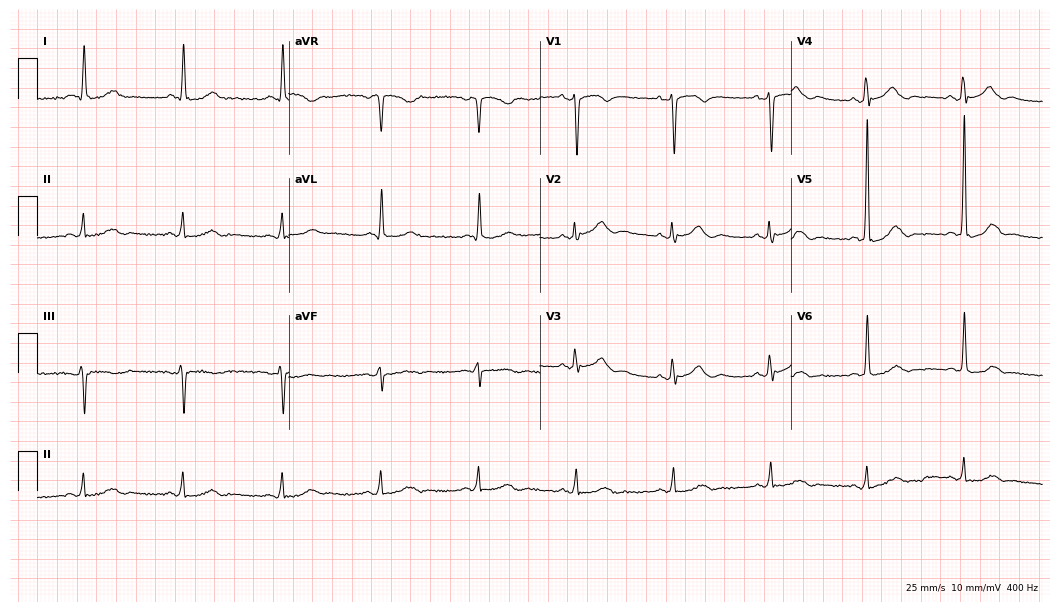
Standard 12-lead ECG recorded from a male patient, 73 years old. None of these six findings is recorded: first-degree AV block, right bundle branch block (RBBB), left bundle branch block (LBBB), sinus bradycardia, atrial fibrillation (AF), sinus tachycardia. Other findings, if any, are not listed.